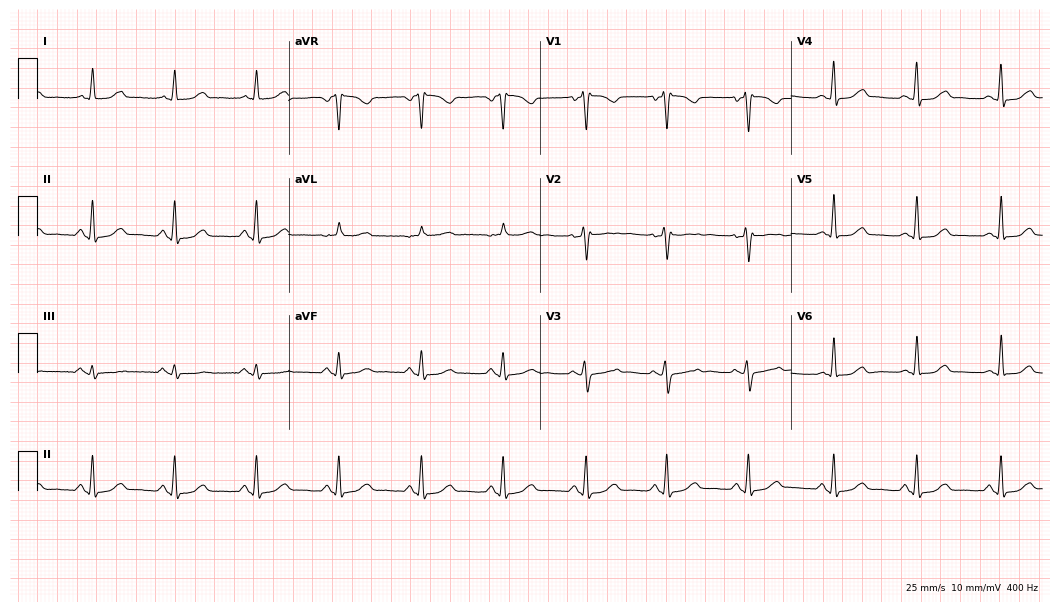
Resting 12-lead electrocardiogram. Patient: a female, 44 years old. None of these six findings is recorded: first-degree AV block, right bundle branch block, left bundle branch block, sinus bradycardia, atrial fibrillation, sinus tachycardia.